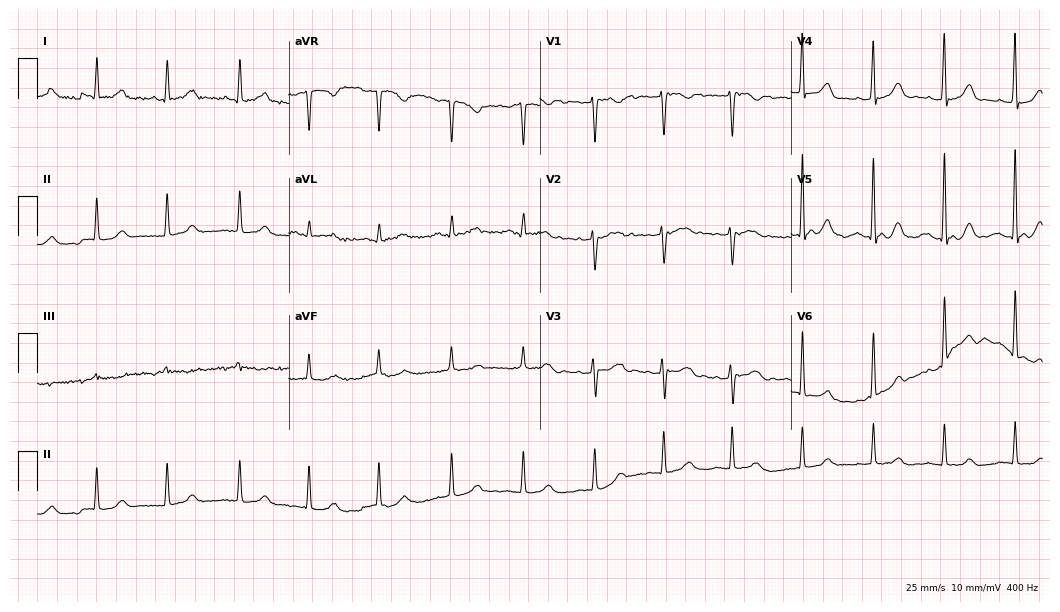
12-lead ECG from a 39-year-old female. Recorded interpretation: within normal limits.